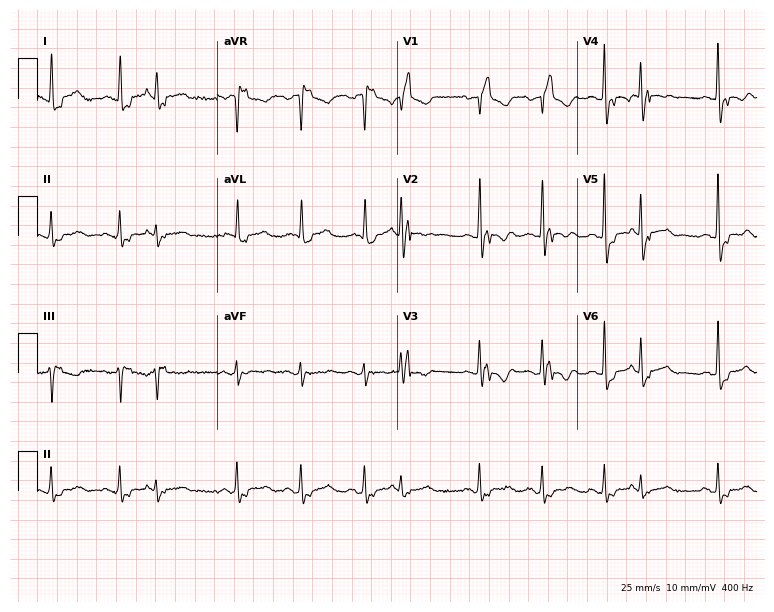
Standard 12-lead ECG recorded from a woman, 60 years old. None of these six findings is recorded: first-degree AV block, right bundle branch block, left bundle branch block, sinus bradycardia, atrial fibrillation, sinus tachycardia.